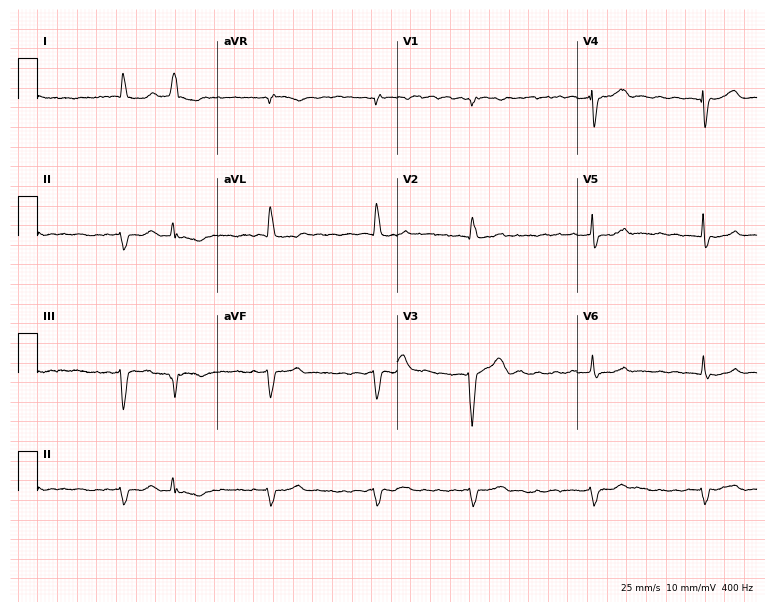
Standard 12-lead ECG recorded from a male, 83 years old. The tracing shows atrial fibrillation (AF).